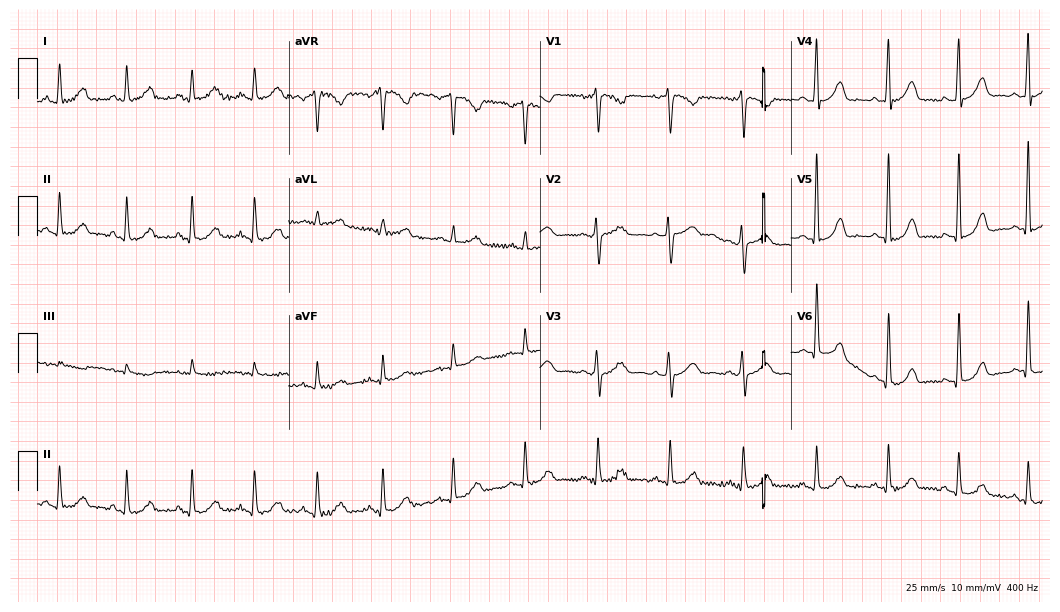
12-lead ECG (10.2-second recording at 400 Hz) from a woman, 45 years old. Labelled as a normal ECG.